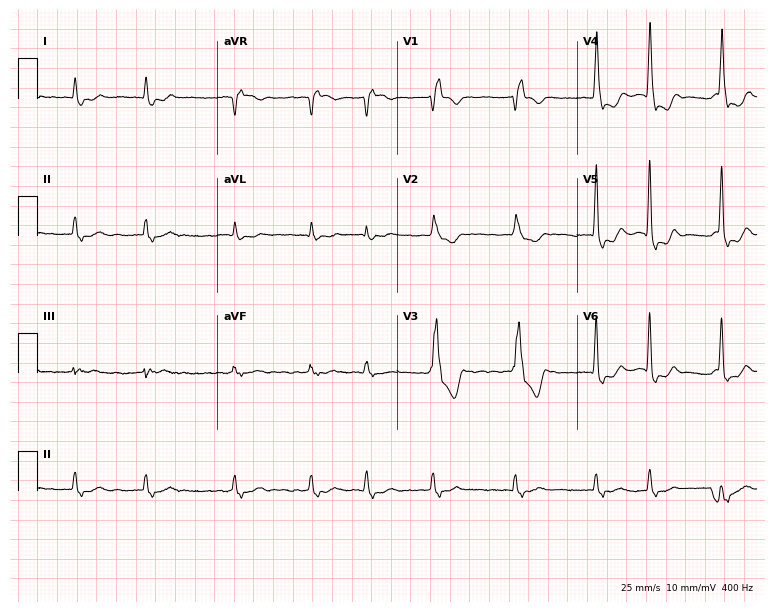
Standard 12-lead ECG recorded from a 79-year-old woman. The tracing shows right bundle branch block, atrial fibrillation.